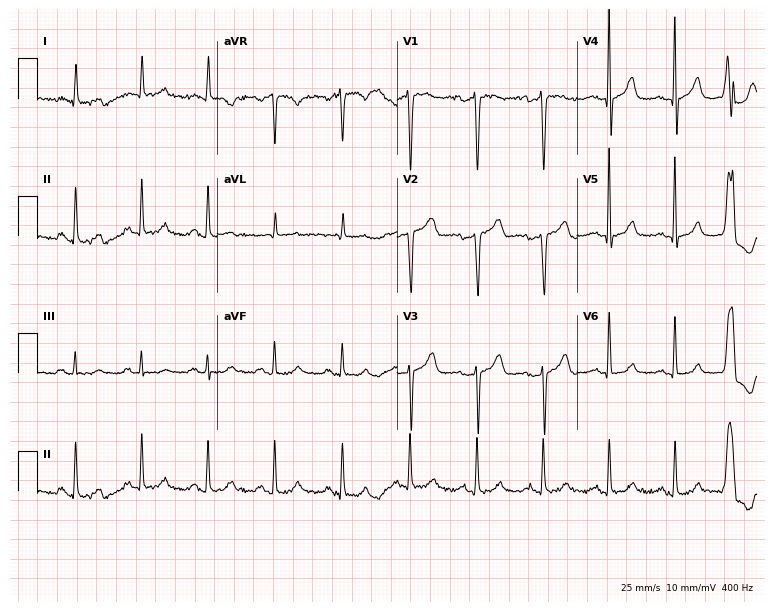
ECG — a 59-year-old woman. Screened for six findings — first-degree AV block, right bundle branch block (RBBB), left bundle branch block (LBBB), sinus bradycardia, atrial fibrillation (AF), sinus tachycardia — none is recorded.